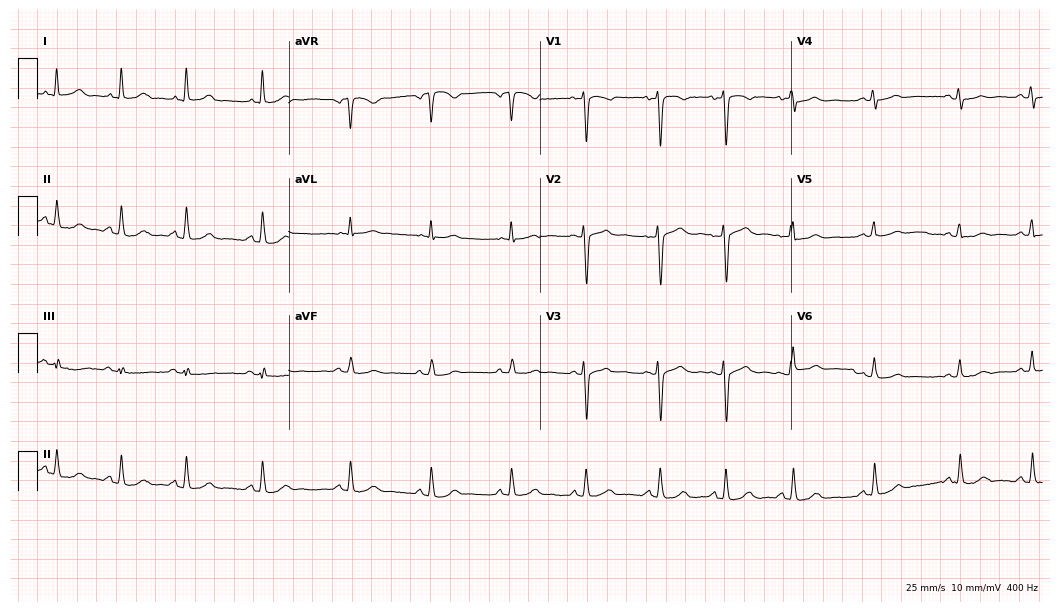
Resting 12-lead electrocardiogram (10.2-second recording at 400 Hz). Patient: a female, 40 years old. Read as a normal ECG.